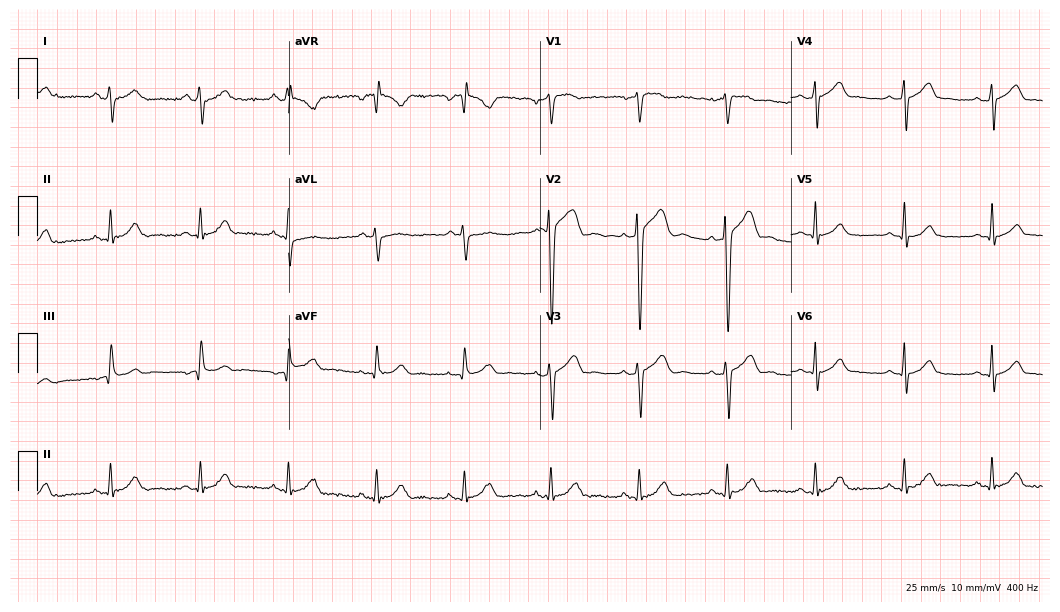
12-lead ECG from a 29-year-old male patient. No first-degree AV block, right bundle branch block (RBBB), left bundle branch block (LBBB), sinus bradycardia, atrial fibrillation (AF) or sinus tachycardia recorded for this tracing. Other findings, if any, are not listed.